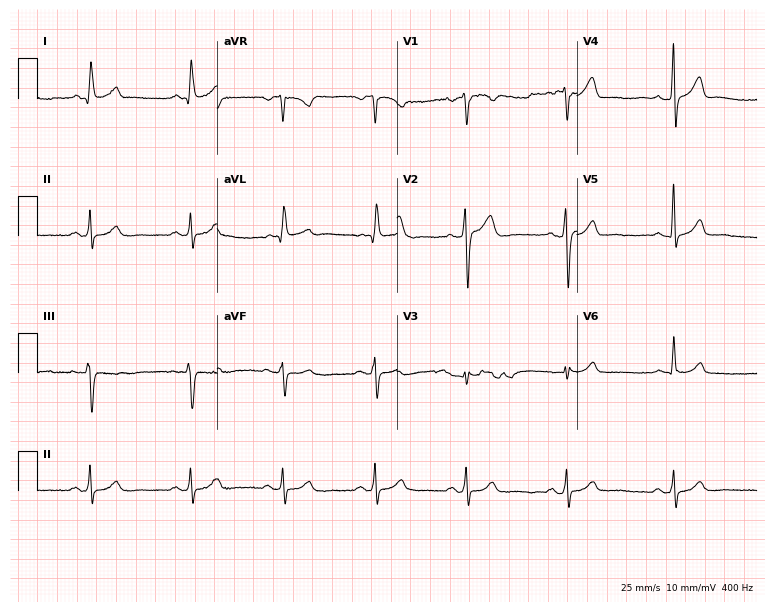
ECG (7.3-second recording at 400 Hz) — a 51-year-old man. Labelled as a normal ECG.